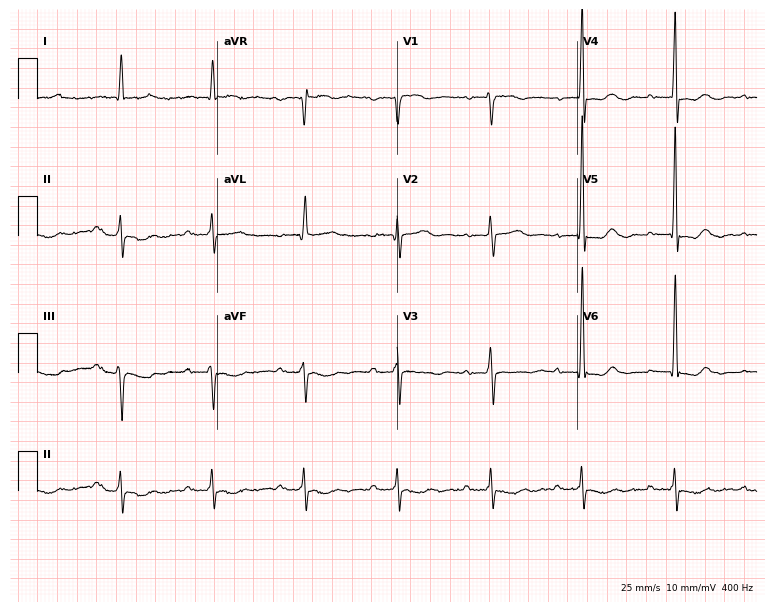
Electrocardiogram, a man, 67 years old. Overall reading on record: normal ECG.